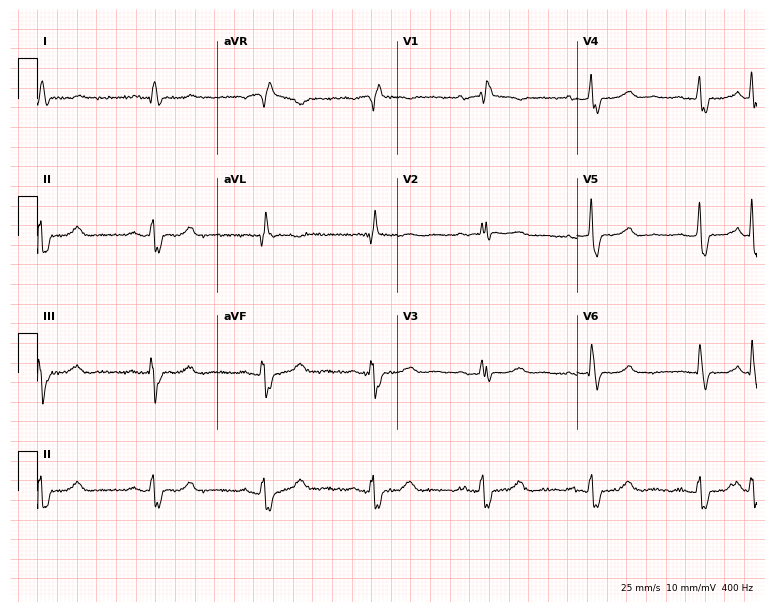
Resting 12-lead electrocardiogram (7.3-second recording at 400 Hz). Patient: a female, 72 years old. The tracing shows right bundle branch block.